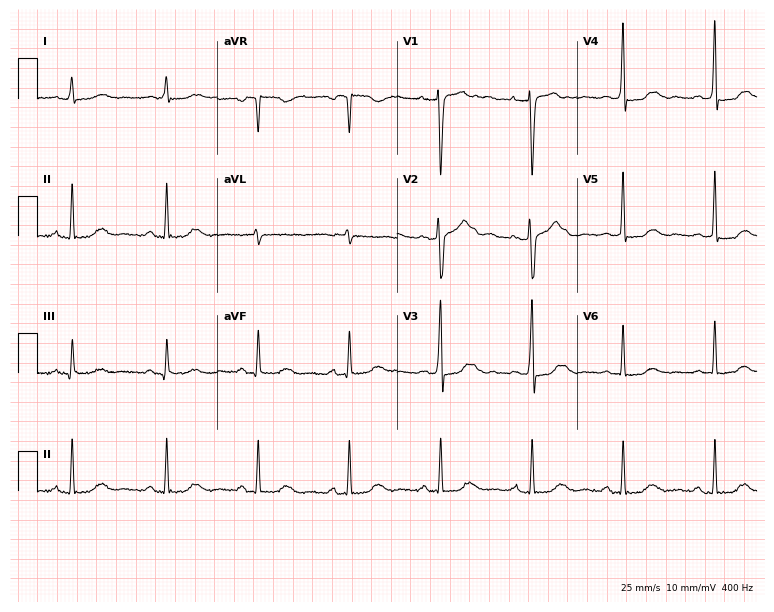
ECG — a female patient, 46 years old. Labelled as a normal ECG.